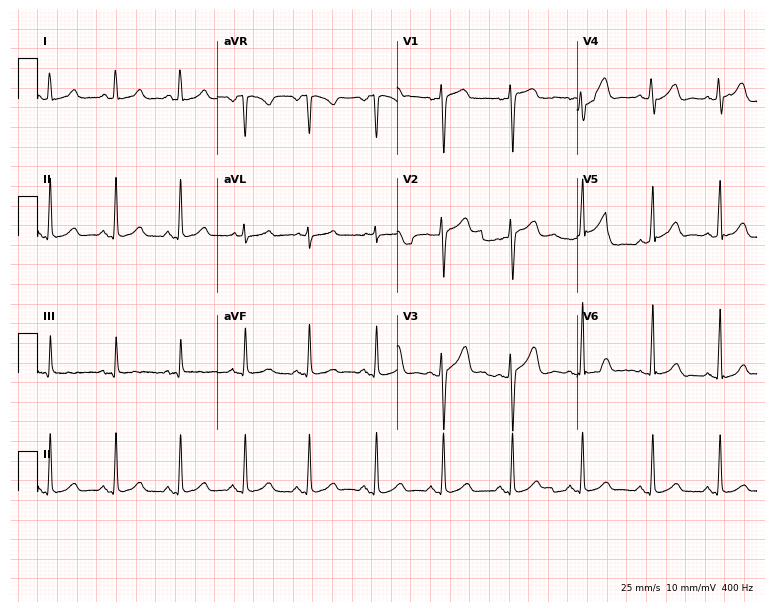
ECG (7.3-second recording at 400 Hz) — a 41-year-old woman. Labelled as a normal ECG.